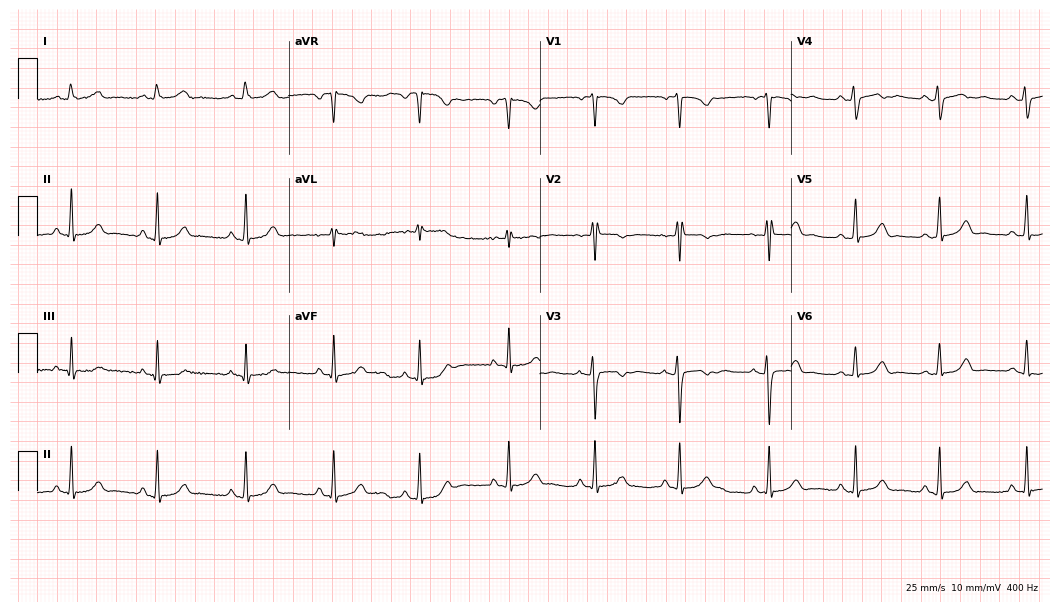
ECG (10.2-second recording at 400 Hz) — a female, 19 years old. Labelled as a normal ECG.